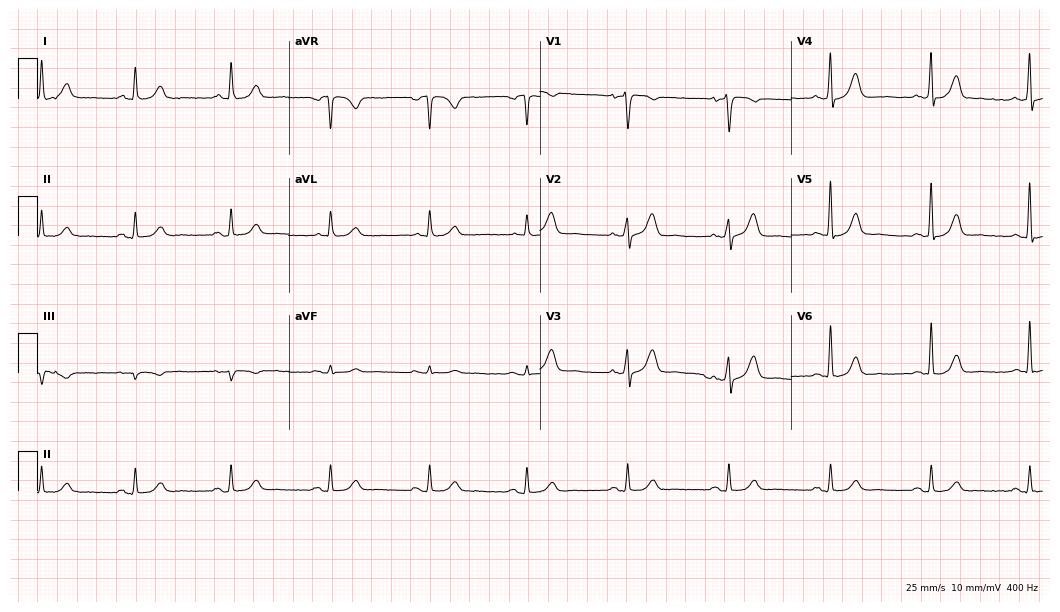
Standard 12-lead ECG recorded from a 63-year-old male (10.2-second recording at 400 Hz). None of these six findings is recorded: first-degree AV block, right bundle branch block, left bundle branch block, sinus bradycardia, atrial fibrillation, sinus tachycardia.